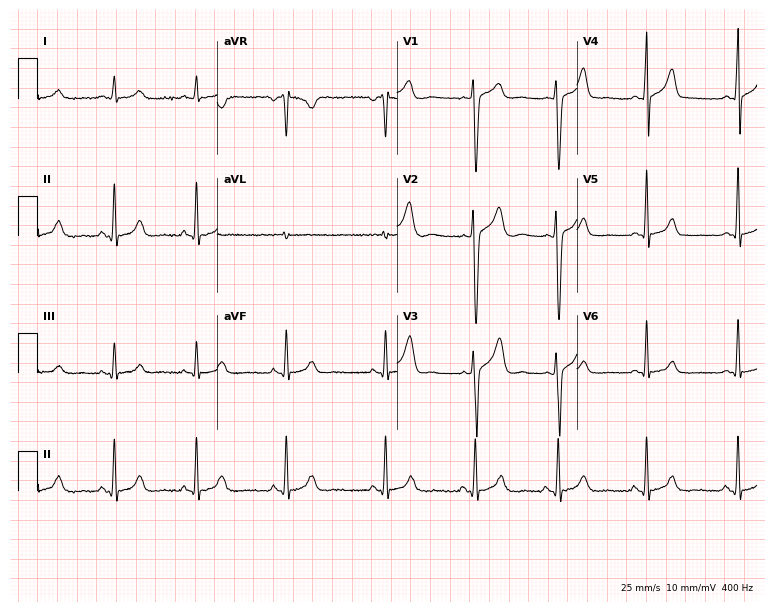
Electrocardiogram, a male, 21 years old. Of the six screened findings (first-degree AV block, right bundle branch block, left bundle branch block, sinus bradycardia, atrial fibrillation, sinus tachycardia), none is recorded.